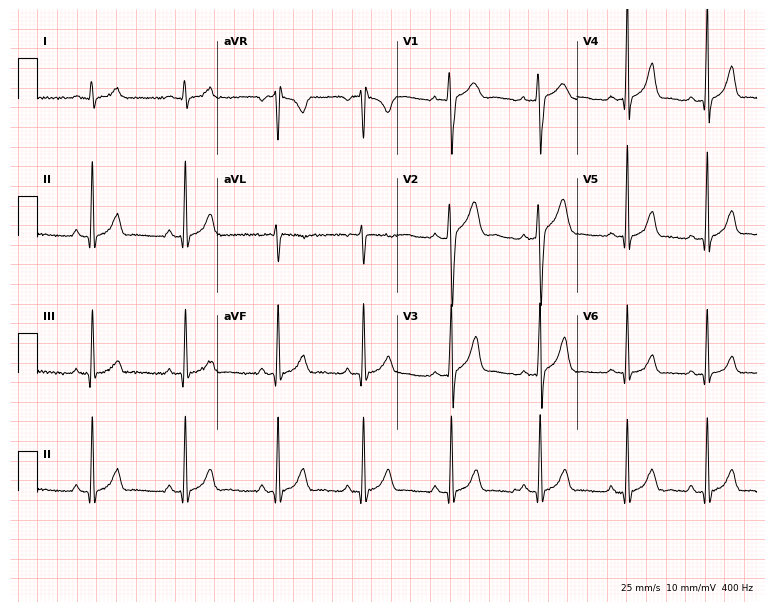
Electrocardiogram, a man, 18 years old. Of the six screened findings (first-degree AV block, right bundle branch block (RBBB), left bundle branch block (LBBB), sinus bradycardia, atrial fibrillation (AF), sinus tachycardia), none is recorded.